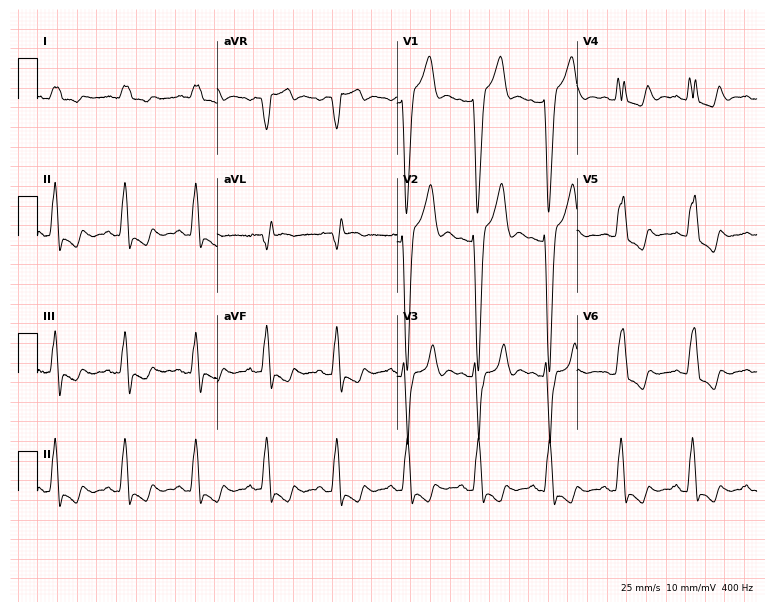
ECG (7.3-second recording at 400 Hz) — a man, 69 years old. Screened for six findings — first-degree AV block, right bundle branch block, left bundle branch block, sinus bradycardia, atrial fibrillation, sinus tachycardia — none is recorded.